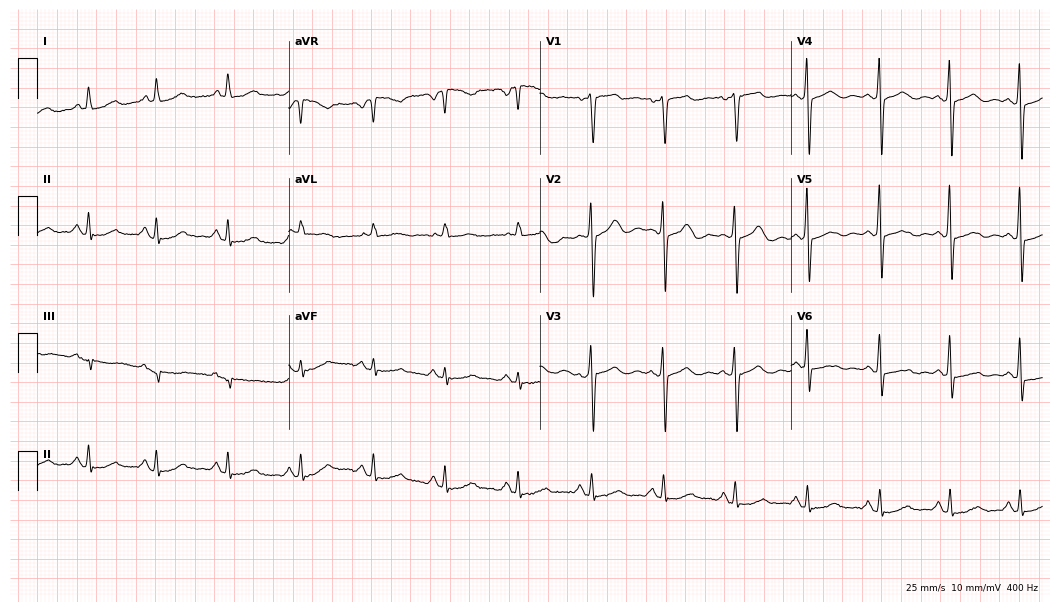
Resting 12-lead electrocardiogram. Patient: a 68-year-old female. Read as a normal ECG.